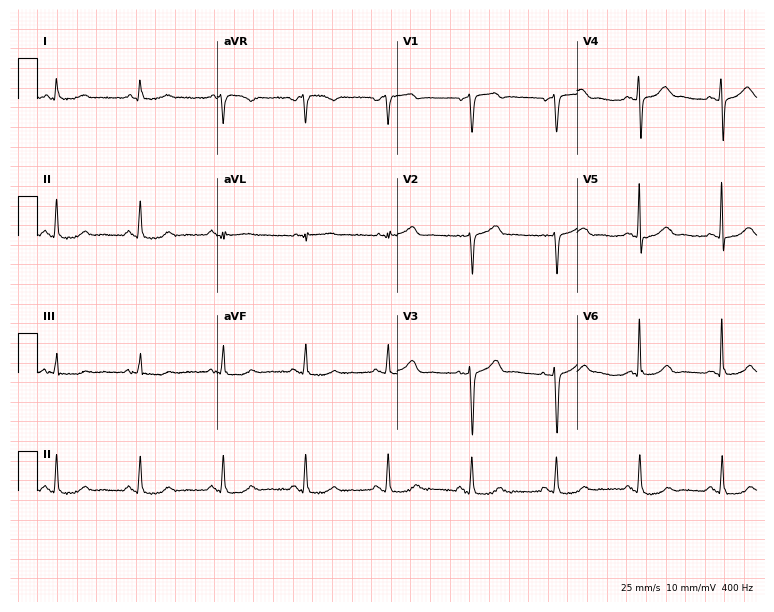
12-lead ECG from a 62-year-old woman (7.3-second recording at 400 Hz). No first-degree AV block, right bundle branch block, left bundle branch block, sinus bradycardia, atrial fibrillation or sinus tachycardia recorded for this tracing. Only these six findings were labelled.